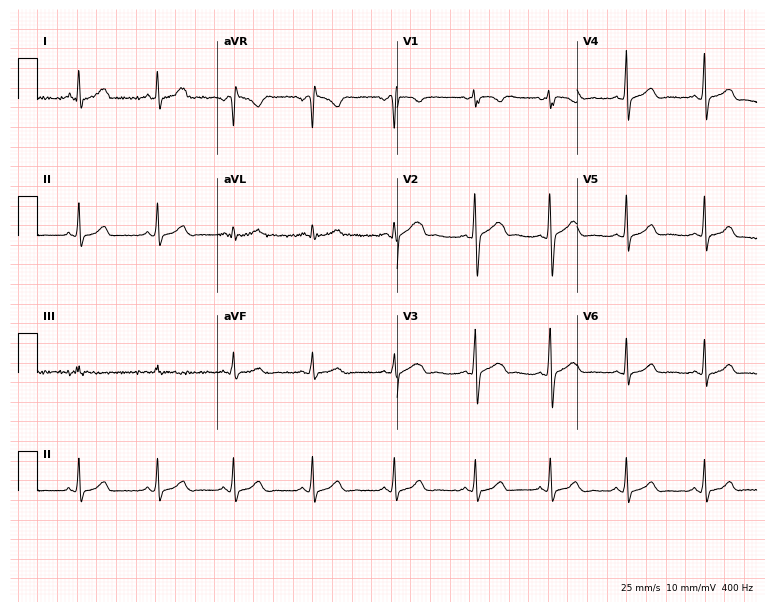
Standard 12-lead ECG recorded from a 22-year-old woman (7.3-second recording at 400 Hz). Read as a normal ECG.